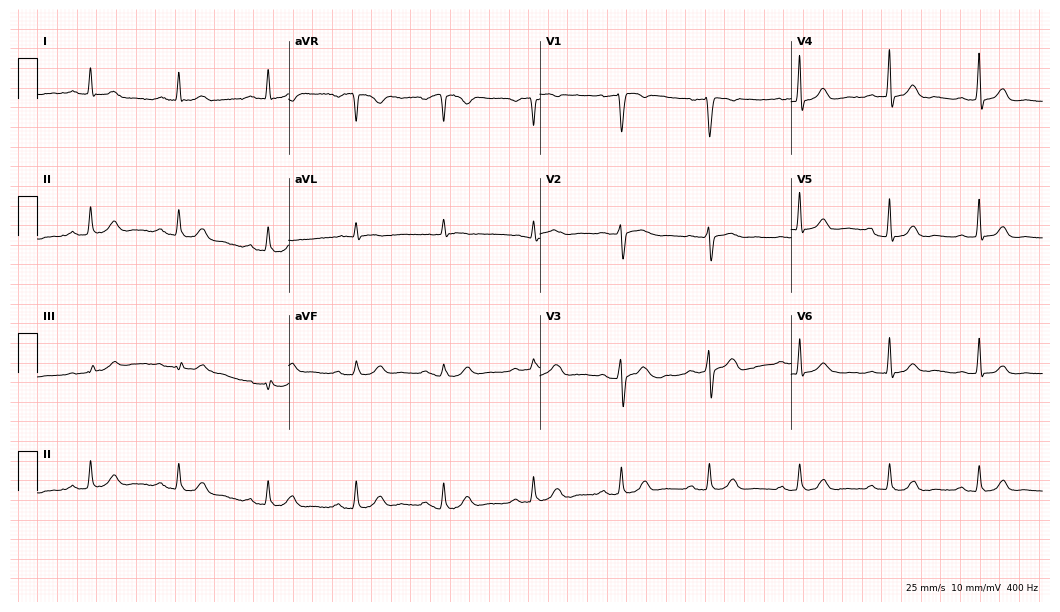
Resting 12-lead electrocardiogram (10.2-second recording at 400 Hz). Patient: a man, 72 years old. Read as a normal ECG.